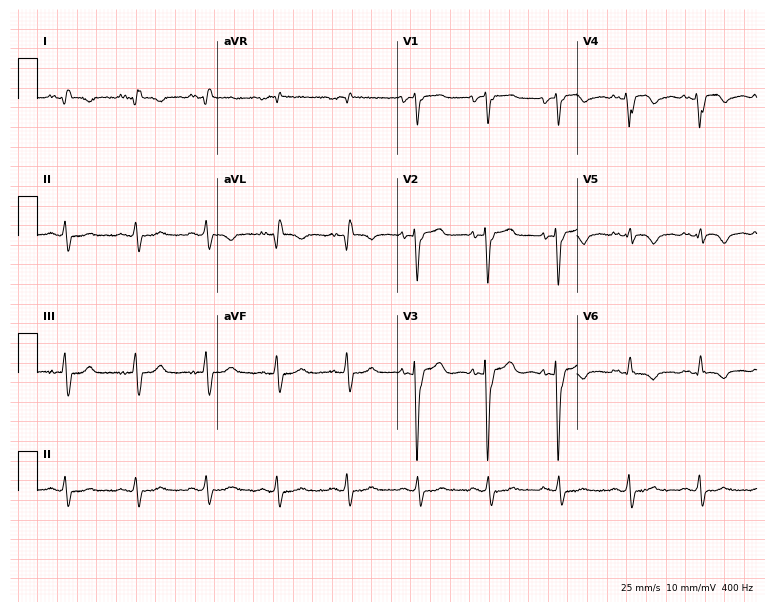
12-lead ECG from a female patient, 42 years old. Screened for six findings — first-degree AV block, right bundle branch block (RBBB), left bundle branch block (LBBB), sinus bradycardia, atrial fibrillation (AF), sinus tachycardia — none is recorded.